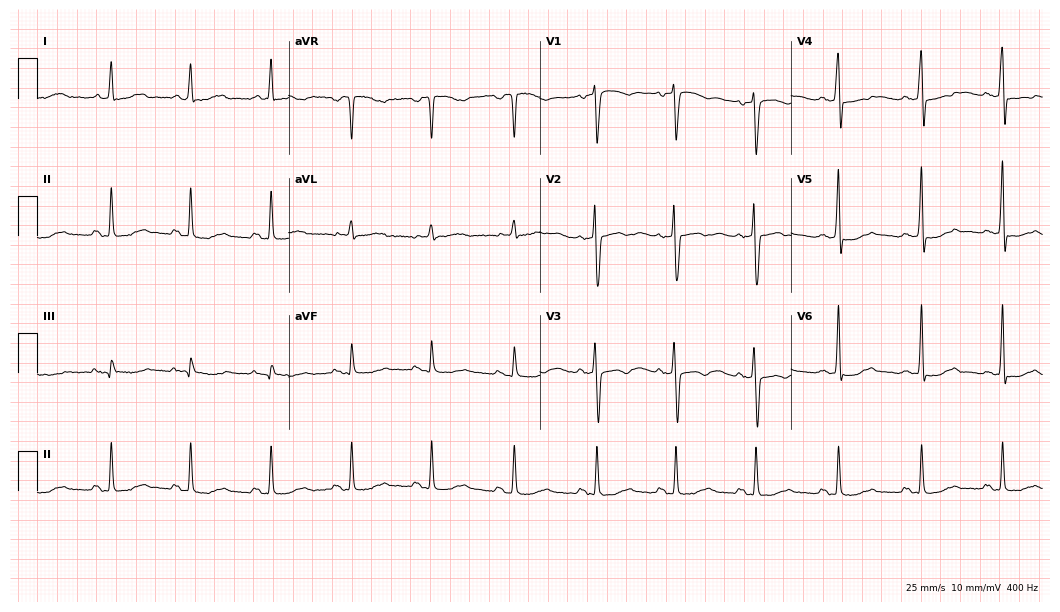
Resting 12-lead electrocardiogram. Patient: a 48-year-old female. None of these six findings is recorded: first-degree AV block, right bundle branch block, left bundle branch block, sinus bradycardia, atrial fibrillation, sinus tachycardia. Other findings, if any, are not listed.